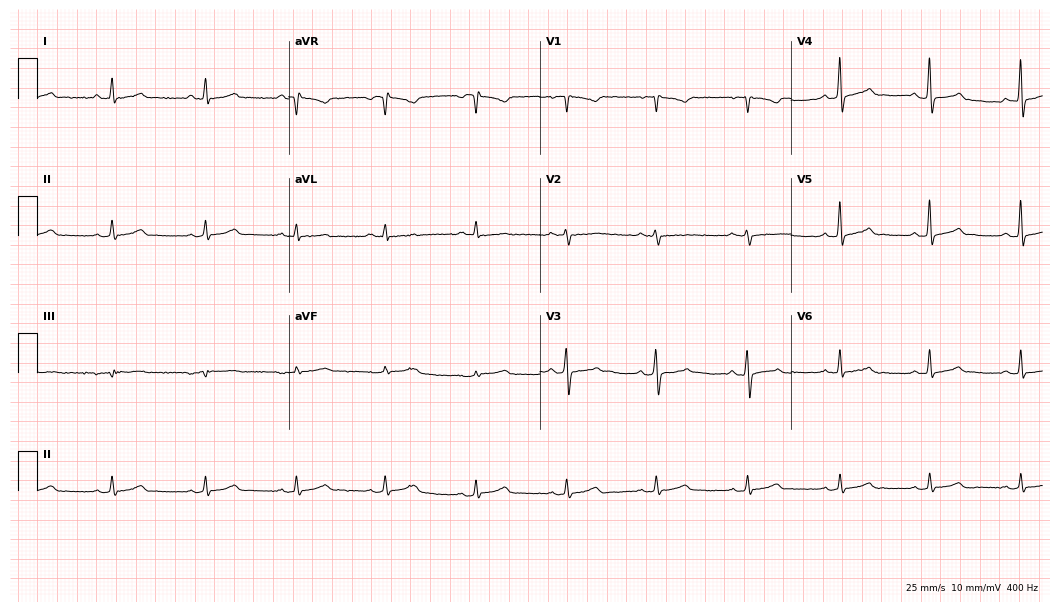
Standard 12-lead ECG recorded from a male patient, 67 years old (10.2-second recording at 400 Hz). Read as a normal ECG.